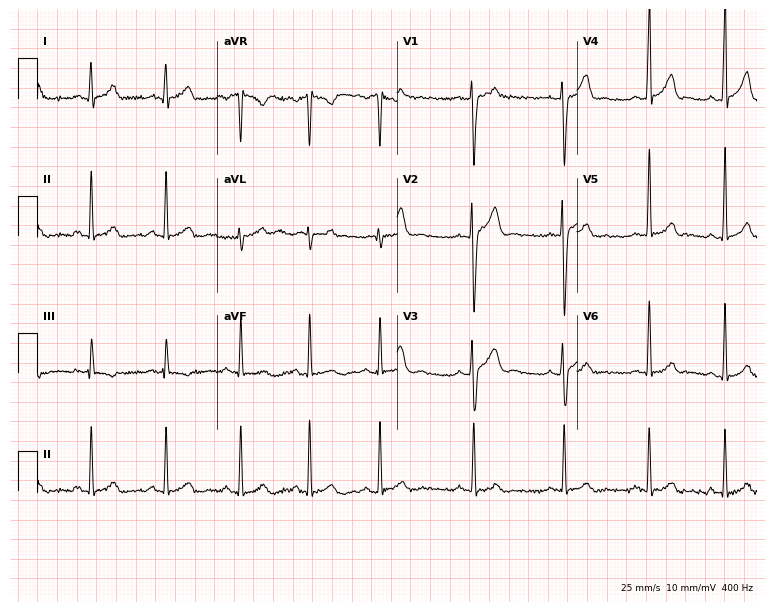
12-lead ECG from a man, 18 years old. Recorded interpretation: within normal limits.